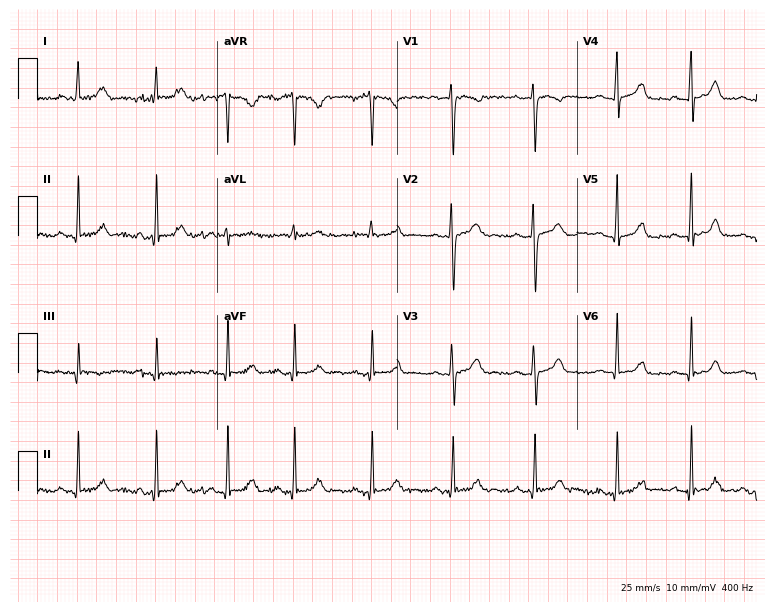
ECG — a 33-year-old woman. Screened for six findings — first-degree AV block, right bundle branch block, left bundle branch block, sinus bradycardia, atrial fibrillation, sinus tachycardia — none is recorded. Findings outside these six are not listed.